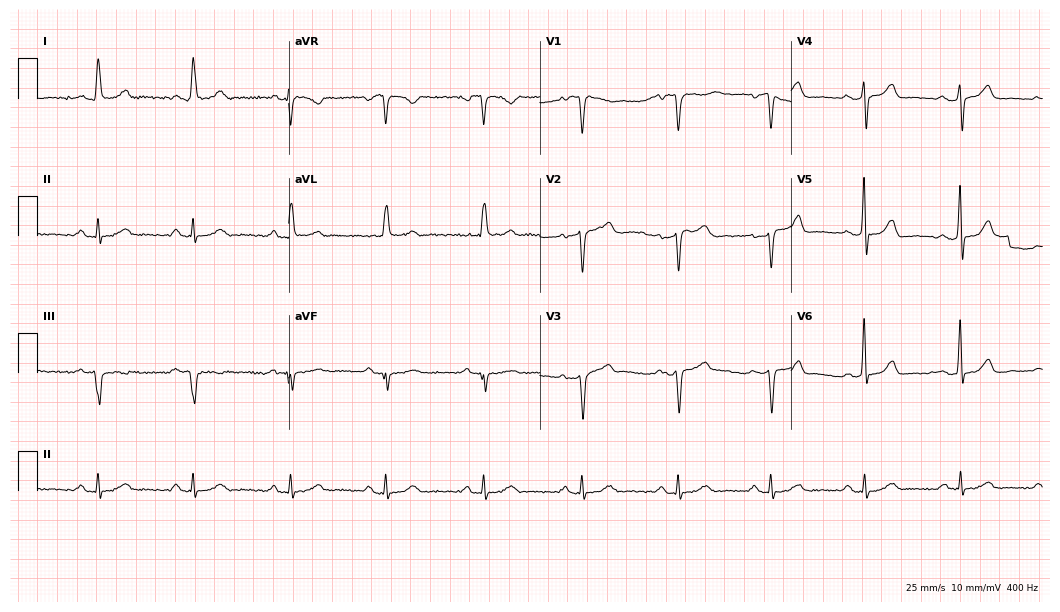
Standard 12-lead ECG recorded from a 58-year-old female patient (10.2-second recording at 400 Hz). Read as a normal ECG.